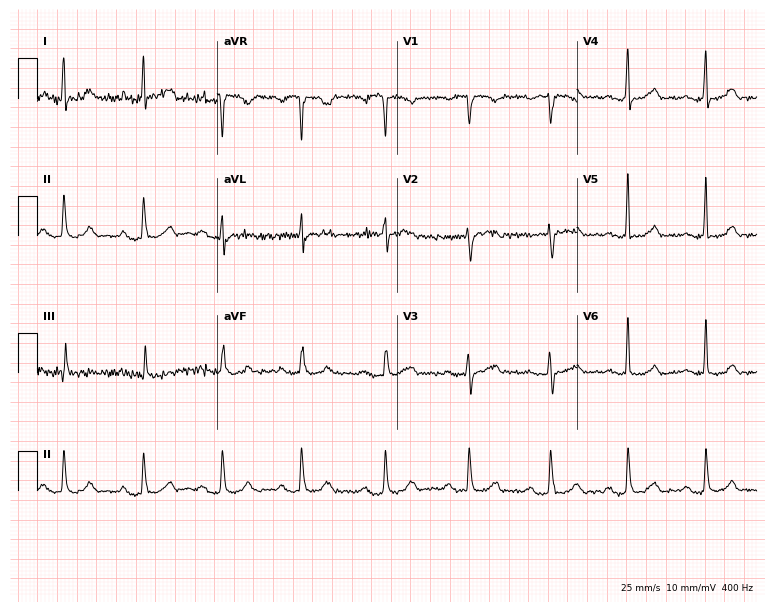
12-lead ECG from a woman, 44 years old (7.3-second recording at 400 Hz). No first-degree AV block, right bundle branch block, left bundle branch block, sinus bradycardia, atrial fibrillation or sinus tachycardia recorded for this tracing. Only these six findings were labelled.